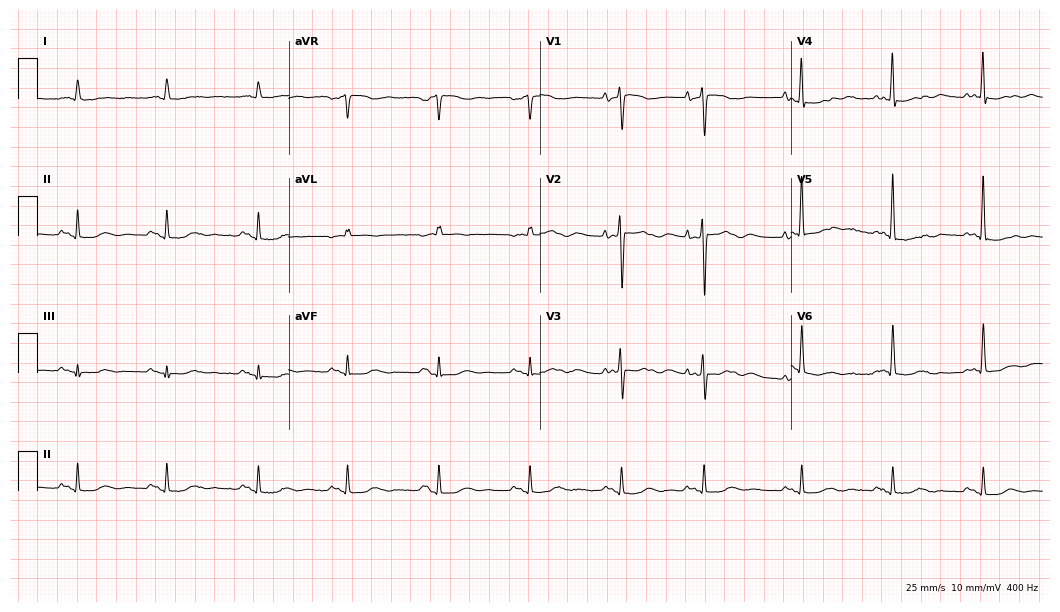
ECG — an 81-year-old man. Screened for six findings — first-degree AV block, right bundle branch block (RBBB), left bundle branch block (LBBB), sinus bradycardia, atrial fibrillation (AF), sinus tachycardia — none is recorded.